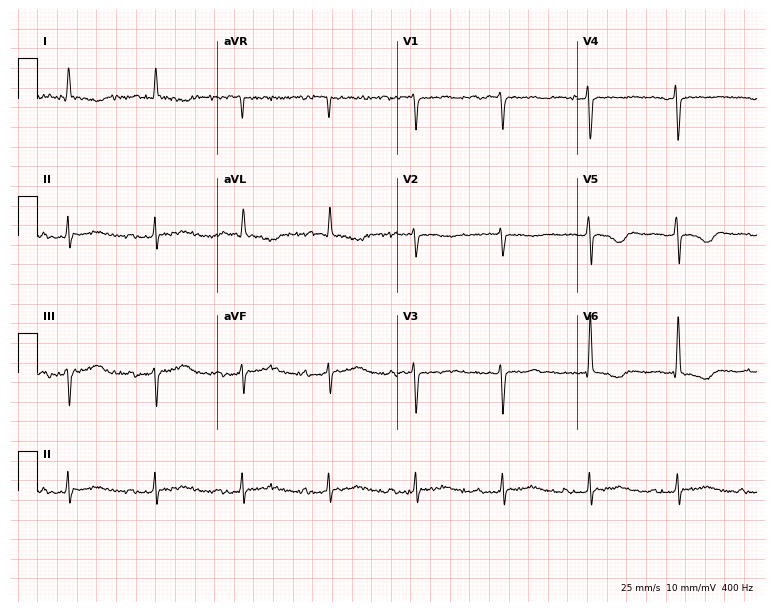
ECG (7.3-second recording at 400 Hz) — a 69-year-old male. Screened for six findings — first-degree AV block, right bundle branch block (RBBB), left bundle branch block (LBBB), sinus bradycardia, atrial fibrillation (AF), sinus tachycardia — none is recorded.